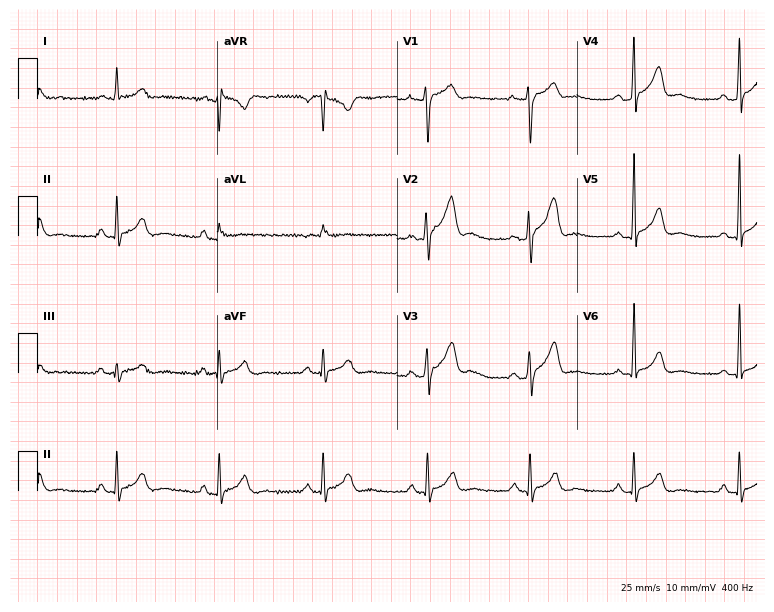
12-lead ECG (7.3-second recording at 400 Hz) from a 28-year-old man. Labelled as a normal ECG.